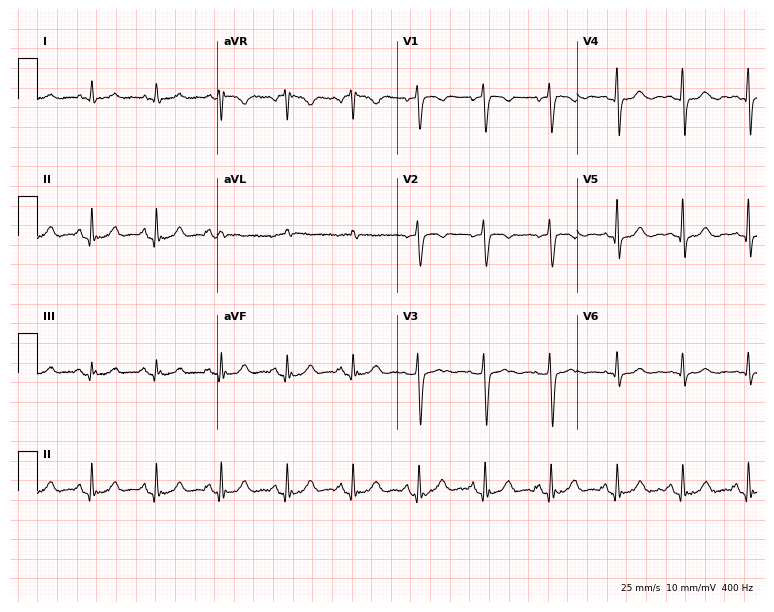
ECG (7.3-second recording at 400 Hz) — a man, 85 years old. Labelled as a normal ECG.